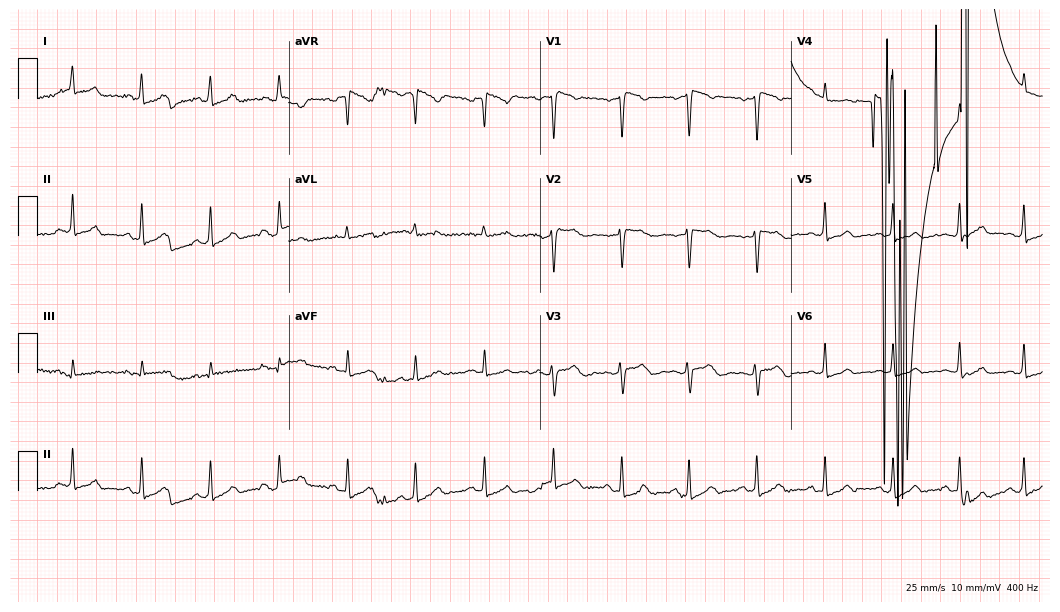
Standard 12-lead ECG recorded from a woman, 48 years old. Read as a normal ECG.